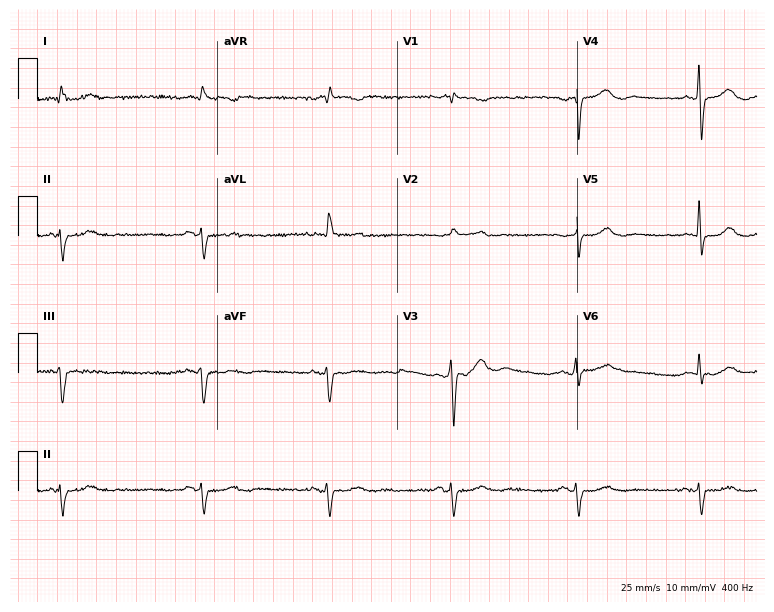
Electrocardiogram (7.3-second recording at 400 Hz), an 84-year-old male. Interpretation includes sinus bradycardia (a sinus rate of 50 beats per minute or less).